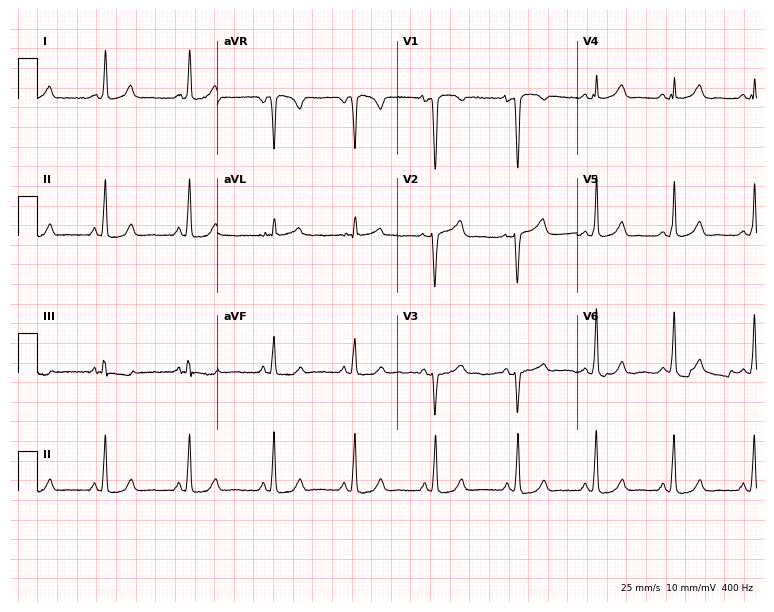
12-lead ECG from a female, 44 years old (7.3-second recording at 400 Hz). No first-degree AV block, right bundle branch block, left bundle branch block, sinus bradycardia, atrial fibrillation or sinus tachycardia recorded for this tracing.